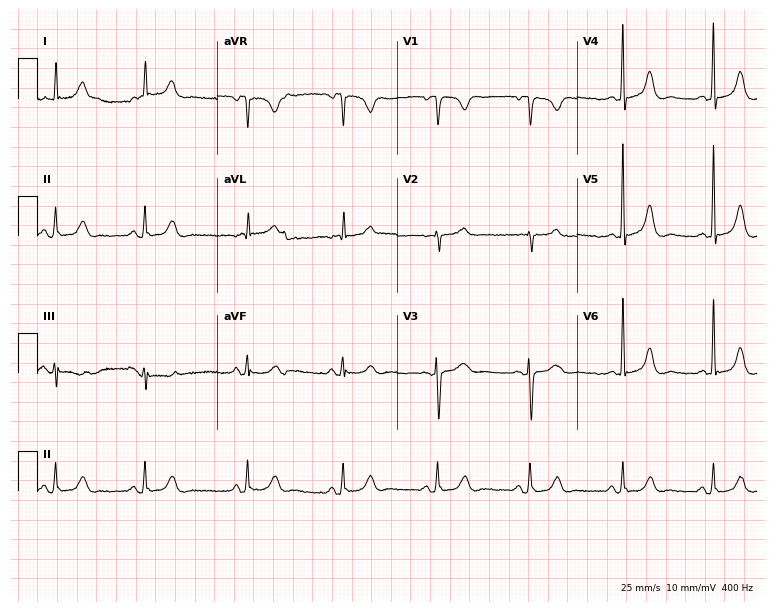
ECG — a 76-year-old woman. Labelled as a normal ECG.